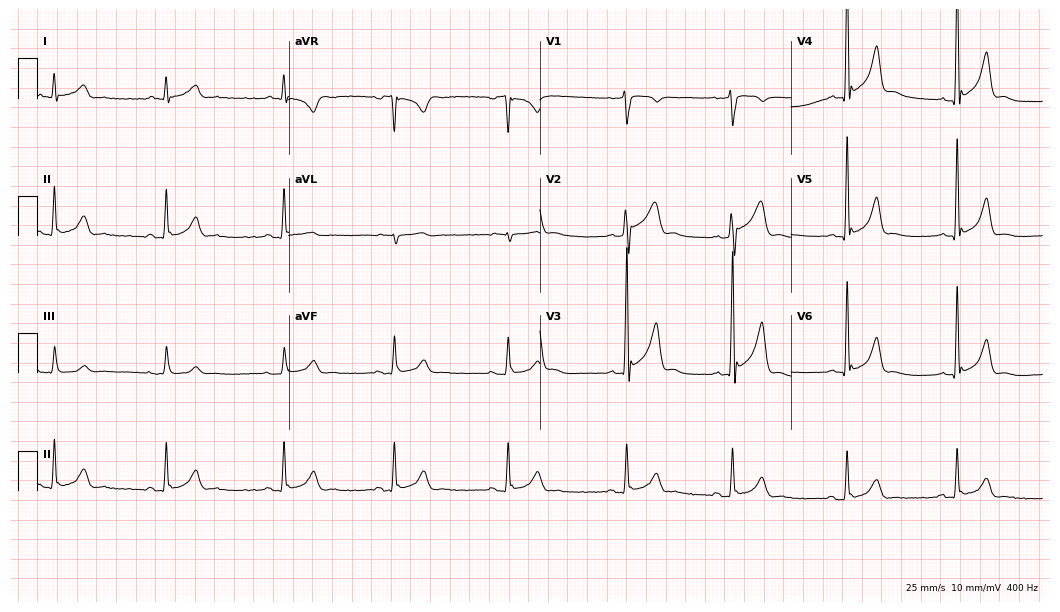
12-lead ECG (10.2-second recording at 400 Hz) from a 33-year-old male. Screened for six findings — first-degree AV block, right bundle branch block, left bundle branch block, sinus bradycardia, atrial fibrillation, sinus tachycardia — none is recorded. Findings outside these six are not listed.